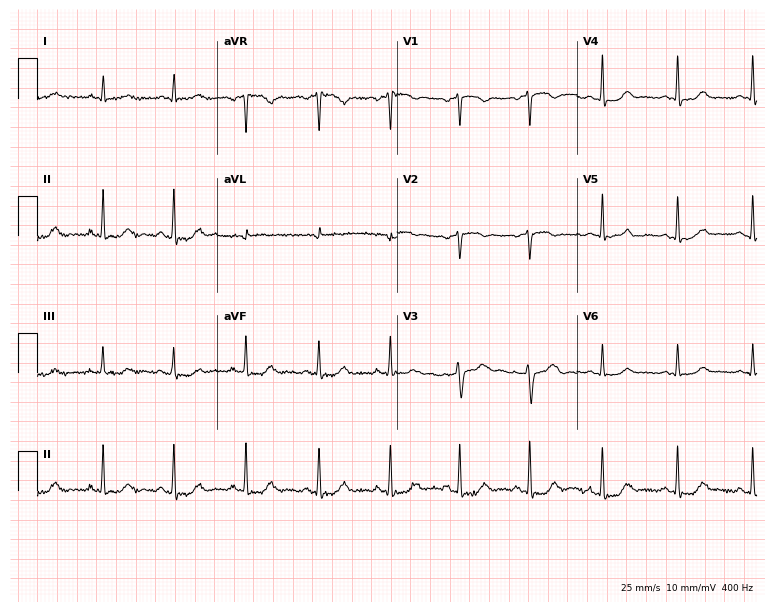
Standard 12-lead ECG recorded from a female patient, 71 years old (7.3-second recording at 400 Hz). Read as a normal ECG.